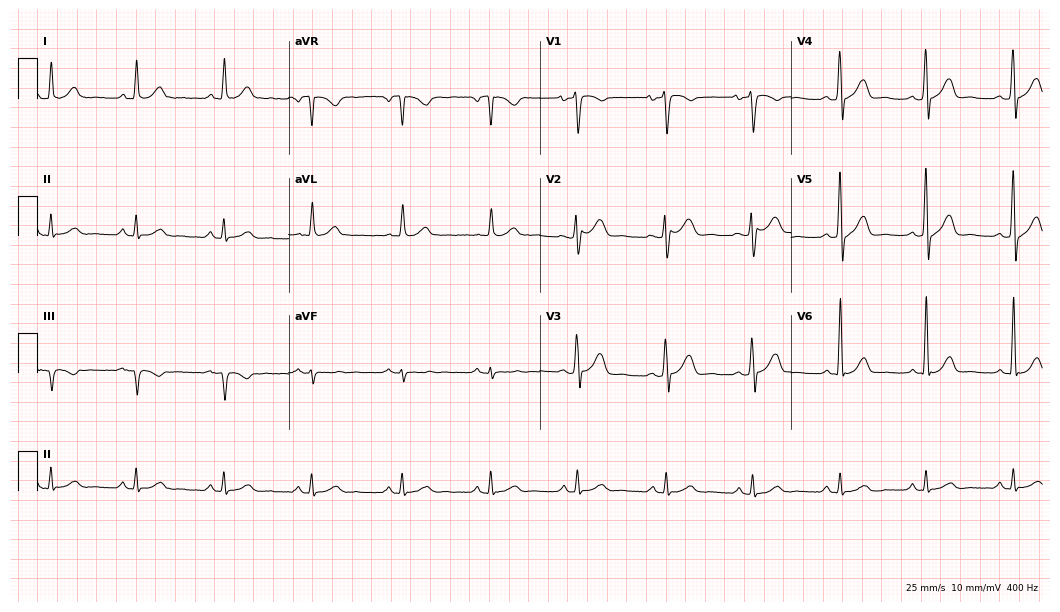
Electrocardiogram (10.2-second recording at 400 Hz), a male, 63 years old. Overall reading on record: normal ECG.